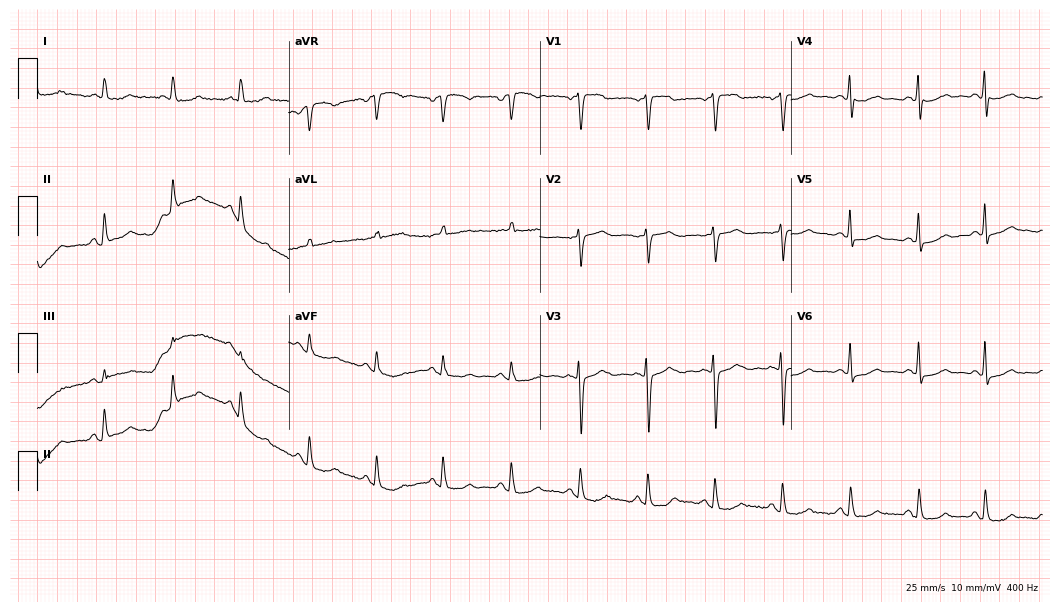
12-lead ECG from a female, 68 years old (10.2-second recording at 400 Hz). No first-degree AV block, right bundle branch block, left bundle branch block, sinus bradycardia, atrial fibrillation or sinus tachycardia recorded for this tracing. Other findings, if any, are not listed.